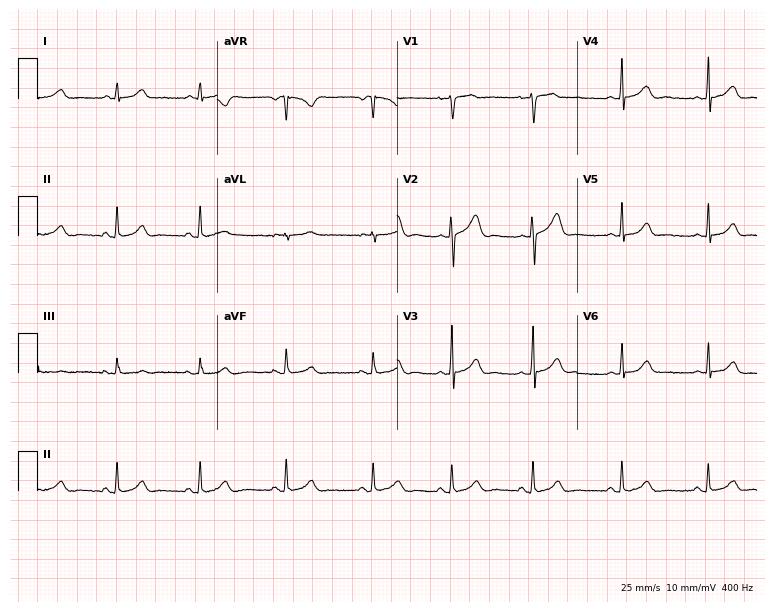
Standard 12-lead ECG recorded from a 19-year-old female patient (7.3-second recording at 400 Hz). Read as a normal ECG.